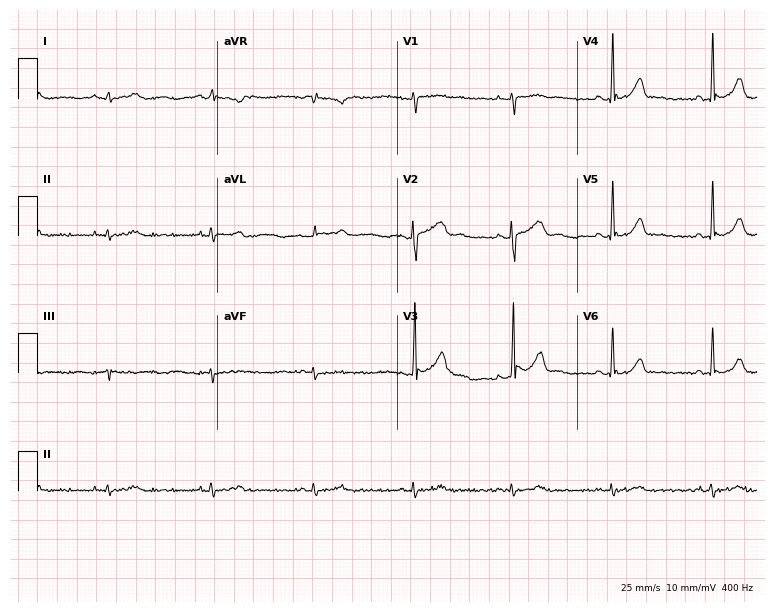
ECG — a 22-year-old woman. Screened for six findings — first-degree AV block, right bundle branch block (RBBB), left bundle branch block (LBBB), sinus bradycardia, atrial fibrillation (AF), sinus tachycardia — none is recorded.